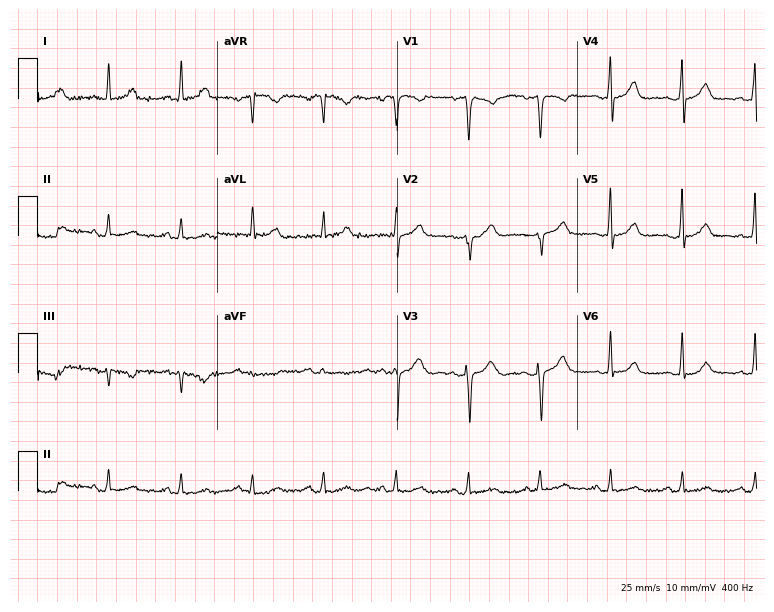
Standard 12-lead ECG recorded from a 48-year-old female. Read as a normal ECG.